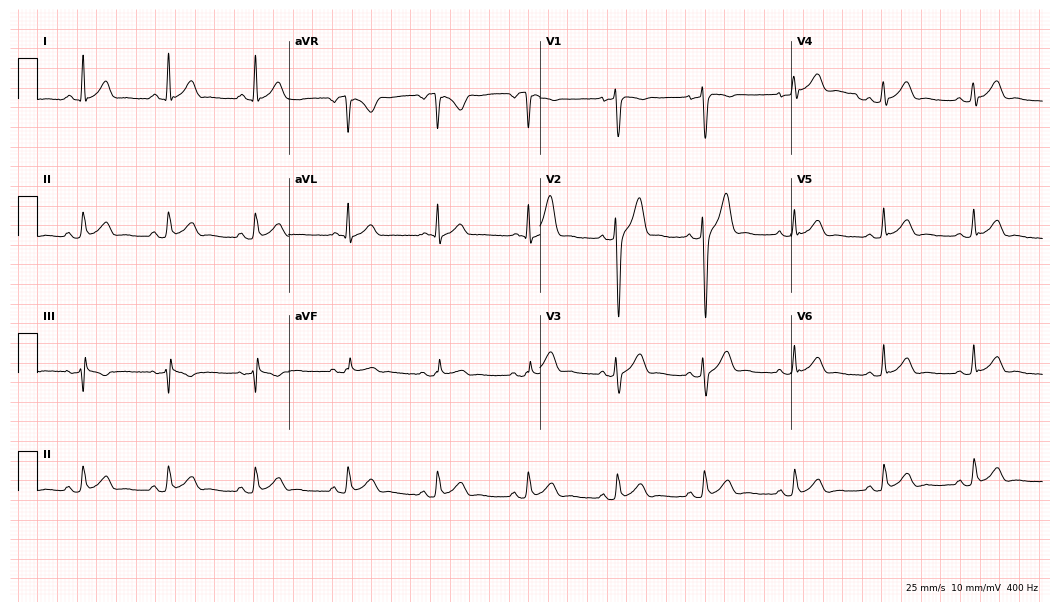
12-lead ECG from a 38-year-old woman (10.2-second recording at 400 Hz). Recorded interpretation: within normal limits.